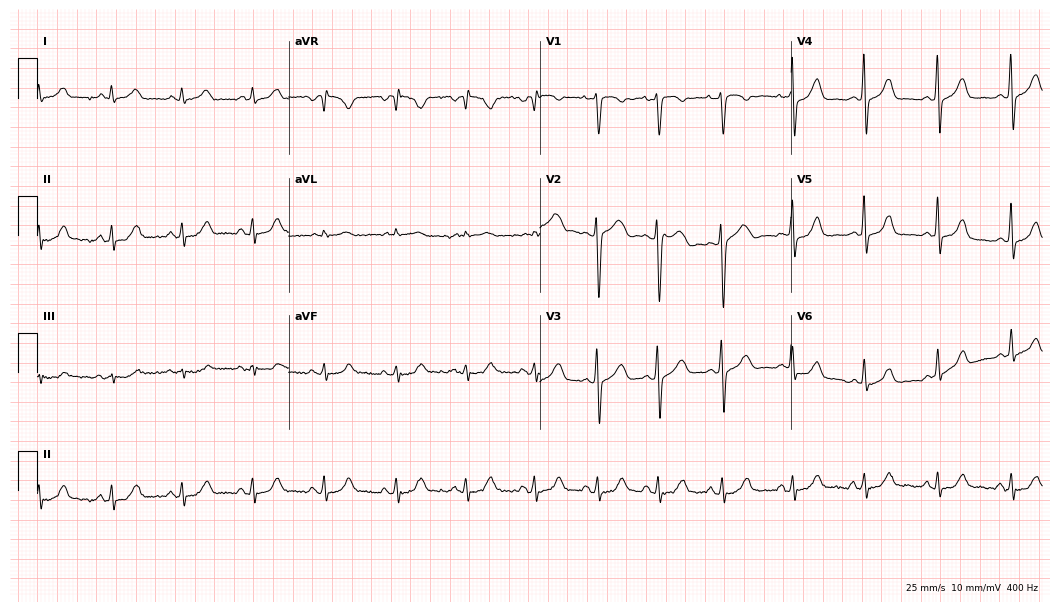
12-lead ECG from a 40-year-old female (10.2-second recording at 400 Hz). Recorded interpretation: within normal limits.